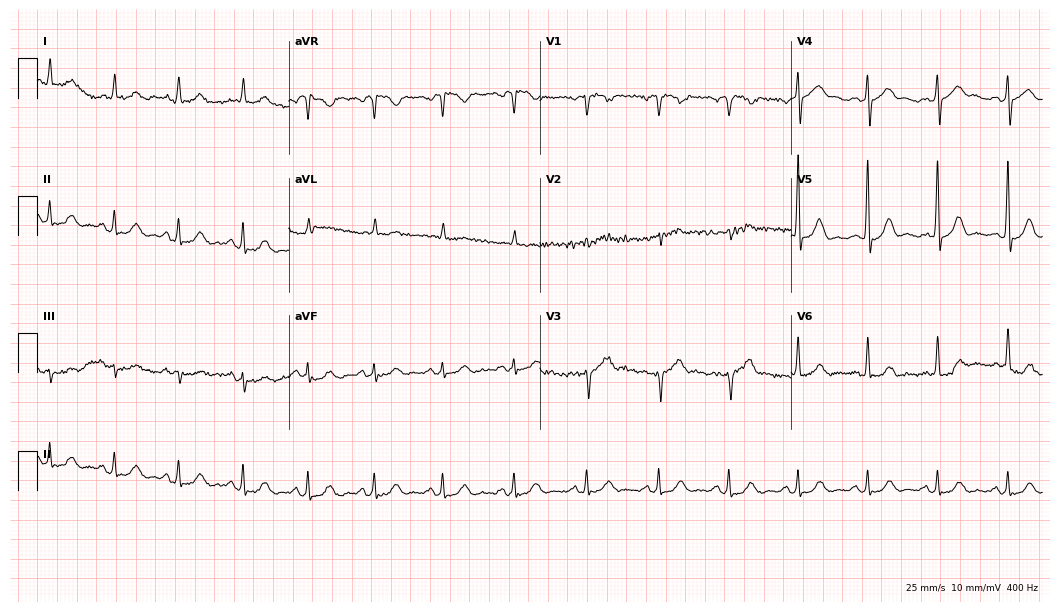
Electrocardiogram, a man, 82 years old. Of the six screened findings (first-degree AV block, right bundle branch block (RBBB), left bundle branch block (LBBB), sinus bradycardia, atrial fibrillation (AF), sinus tachycardia), none is recorded. Findings outside these six are not listed.